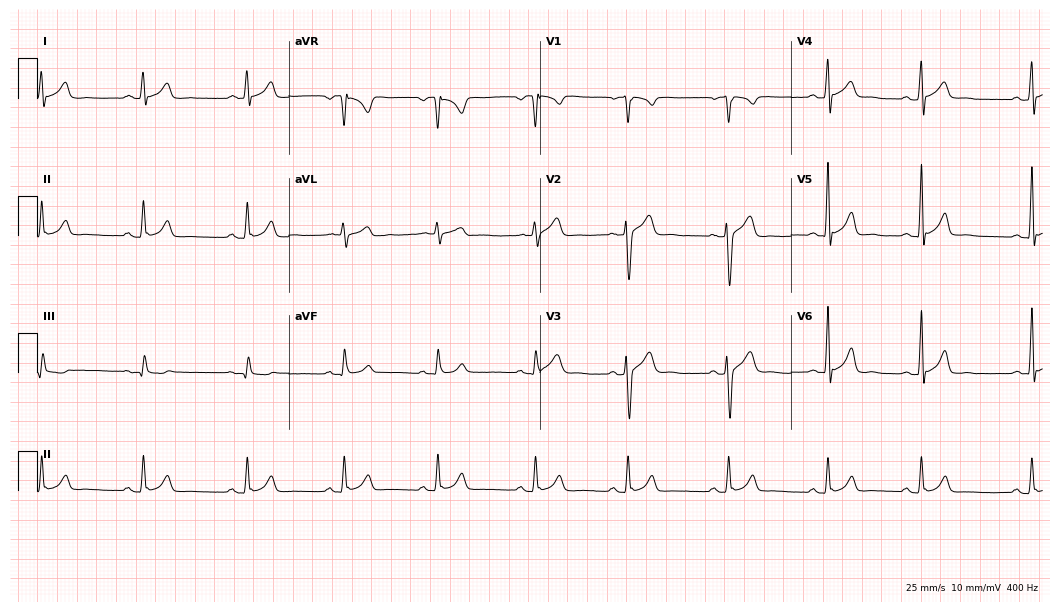
Electrocardiogram, a 33-year-old male. Of the six screened findings (first-degree AV block, right bundle branch block, left bundle branch block, sinus bradycardia, atrial fibrillation, sinus tachycardia), none is recorded. Other findings, if any, are not listed.